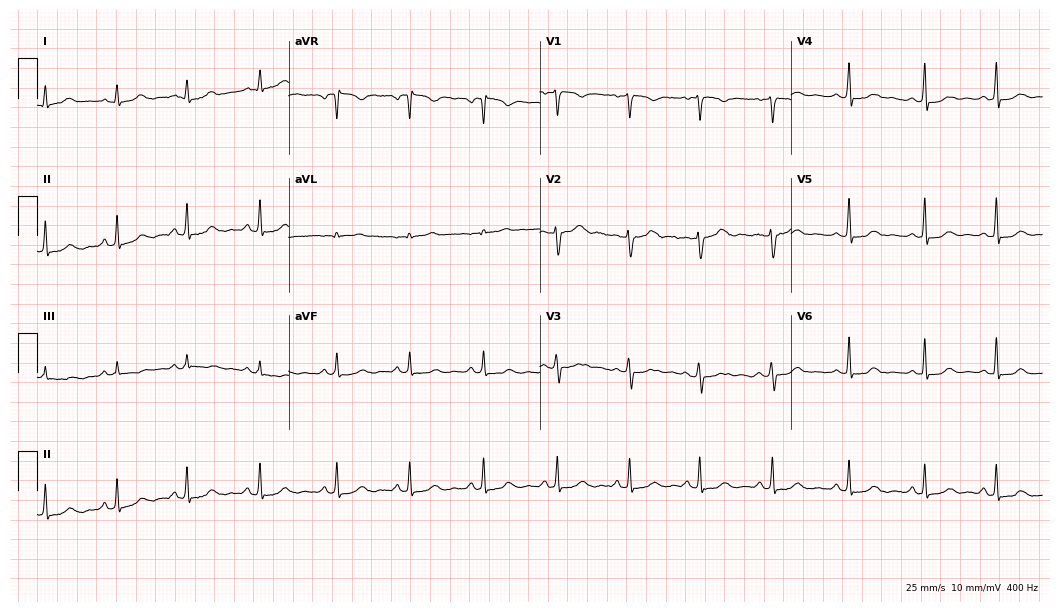
12-lead ECG from a 21-year-old female patient. Recorded interpretation: within normal limits.